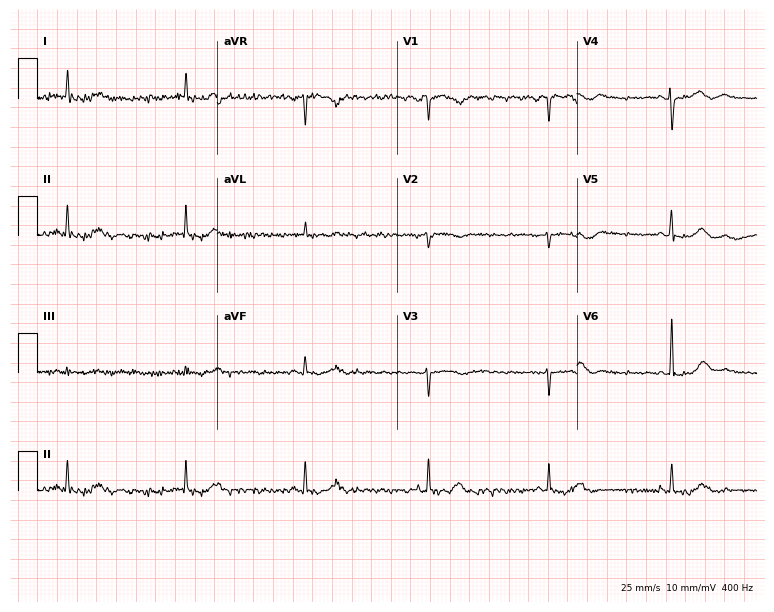
12-lead ECG from a woman, 82 years old. Shows sinus bradycardia (a sinus rate of 50 beats per minute or less).